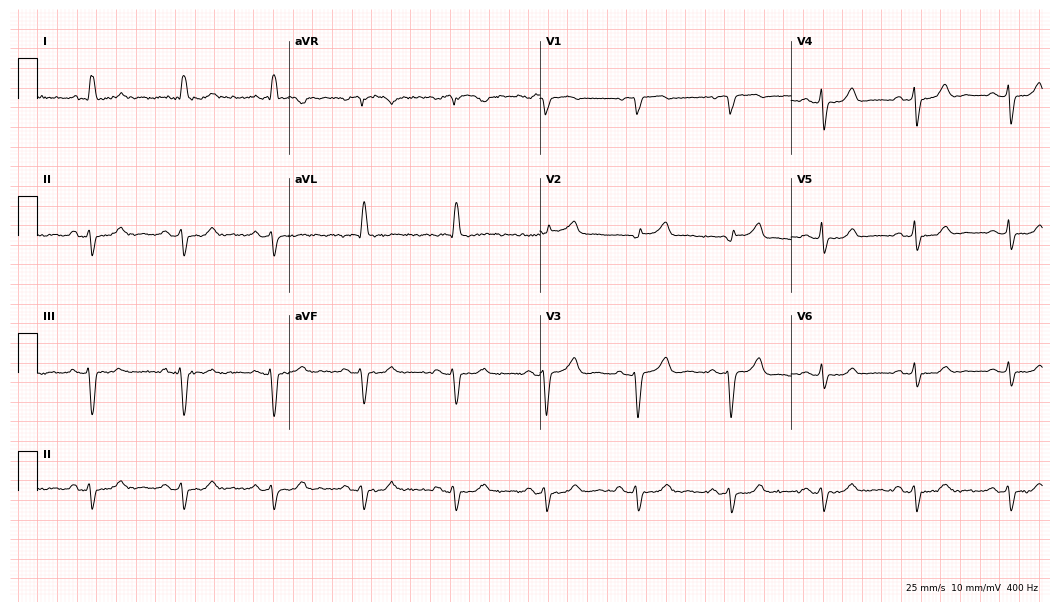
12-lead ECG (10.2-second recording at 400 Hz) from a female, 75 years old. Screened for six findings — first-degree AV block, right bundle branch block, left bundle branch block, sinus bradycardia, atrial fibrillation, sinus tachycardia — none is recorded.